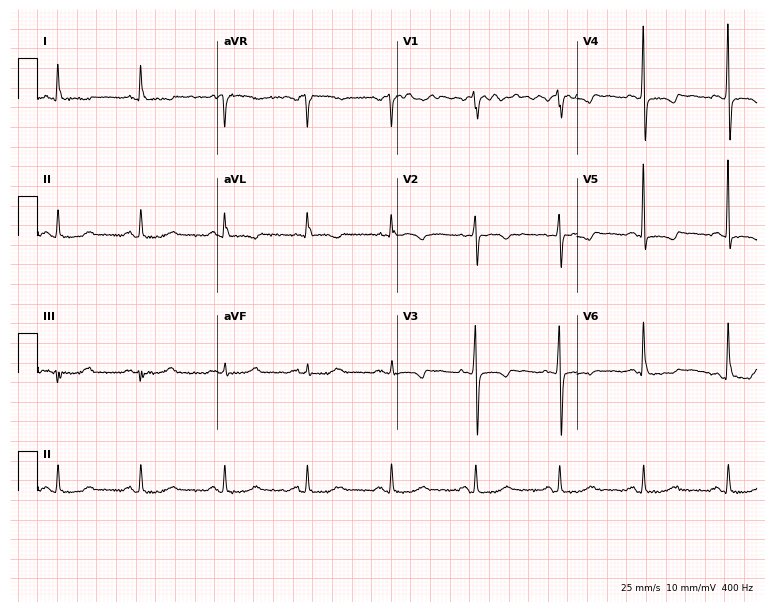
12-lead ECG from an 84-year-old female patient. Screened for six findings — first-degree AV block, right bundle branch block, left bundle branch block, sinus bradycardia, atrial fibrillation, sinus tachycardia — none is recorded. Other findings, if any, are not listed.